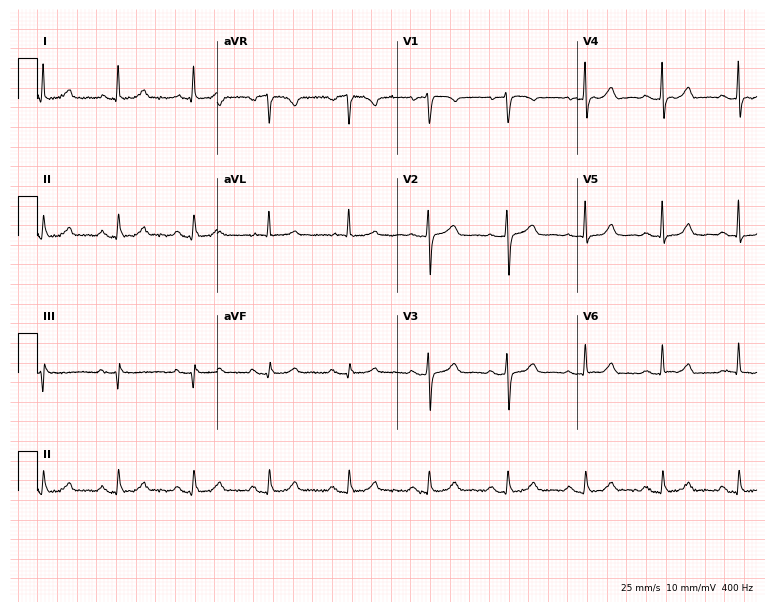
12-lead ECG (7.3-second recording at 400 Hz) from a female patient, 84 years old. Screened for six findings — first-degree AV block, right bundle branch block (RBBB), left bundle branch block (LBBB), sinus bradycardia, atrial fibrillation (AF), sinus tachycardia — none is recorded.